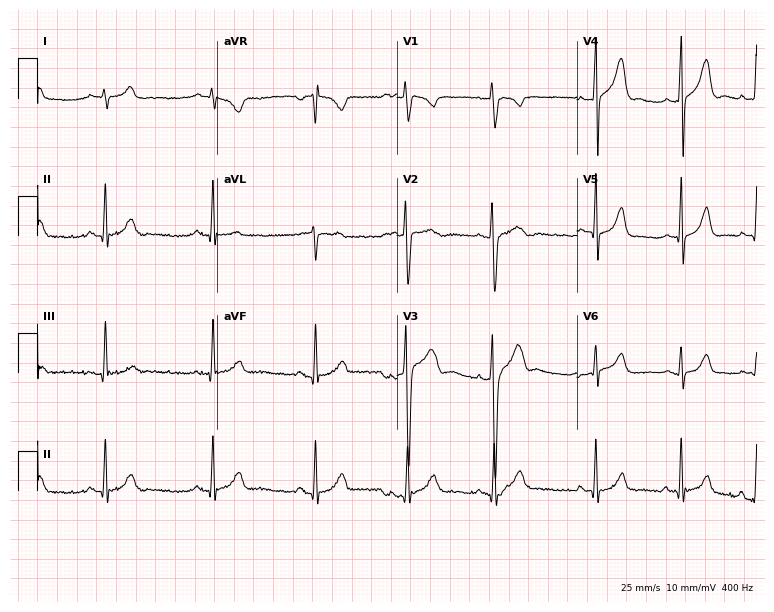
12-lead ECG (7.3-second recording at 400 Hz) from a male, 19 years old. Labelled as a normal ECG.